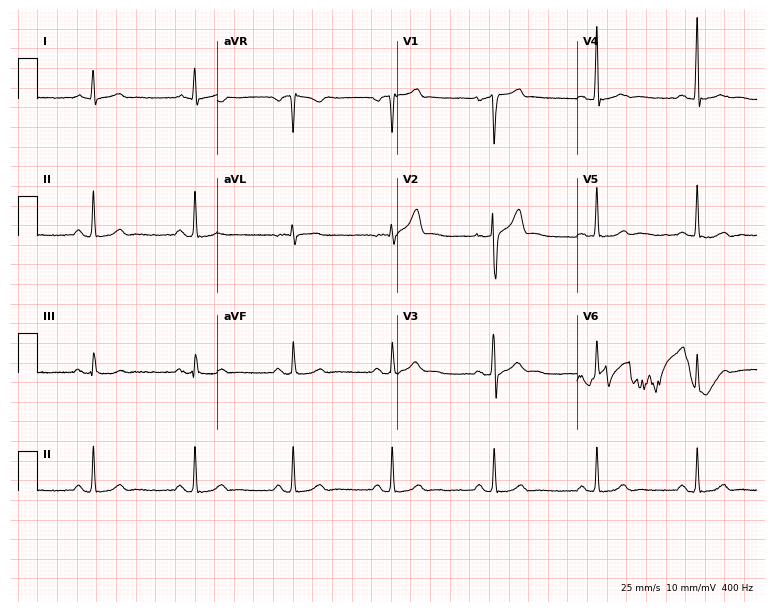
Resting 12-lead electrocardiogram. Patient: a male, 36 years old. None of these six findings is recorded: first-degree AV block, right bundle branch block, left bundle branch block, sinus bradycardia, atrial fibrillation, sinus tachycardia.